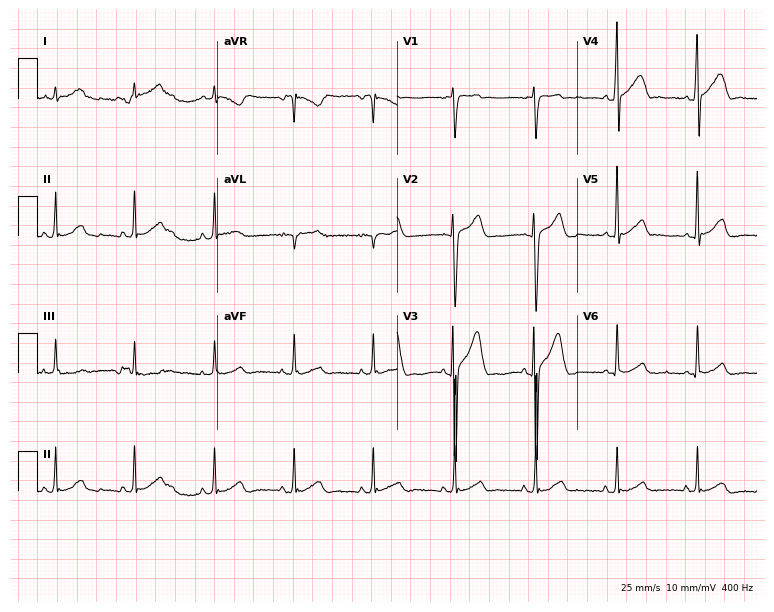
Standard 12-lead ECG recorded from a man, 26 years old (7.3-second recording at 400 Hz). None of these six findings is recorded: first-degree AV block, right bundle branch block, left bundle branch block, sinus bradycardia, atrial fibrillation, sinus tachycardia.